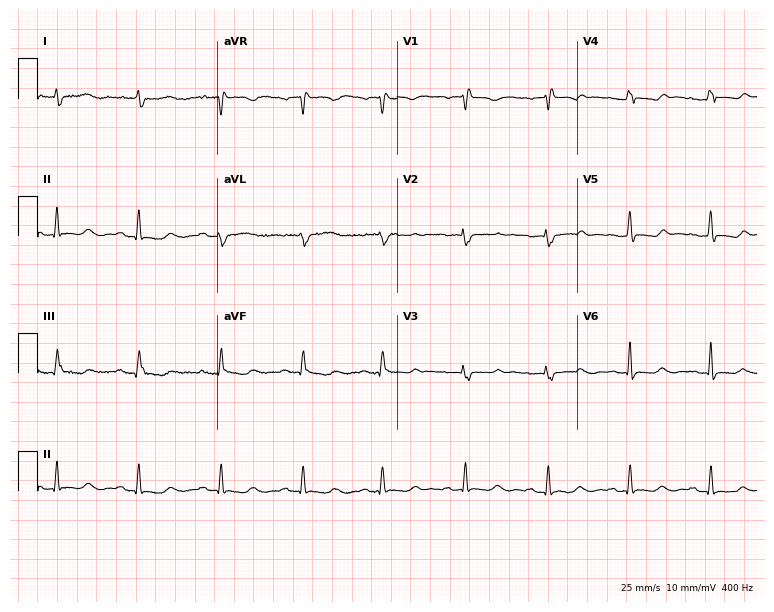
Resting 12-lead electrocardiogram (7.3-second recording at 400 Hz). Patient: a 66-year-old female. None of these six findings is recorded: first-degree AV block, right bundle branch block (RBBB), left bundle branch block (LBBB), sinus bradycardia, atrial fibrillation (AF), sinus tachycardia.